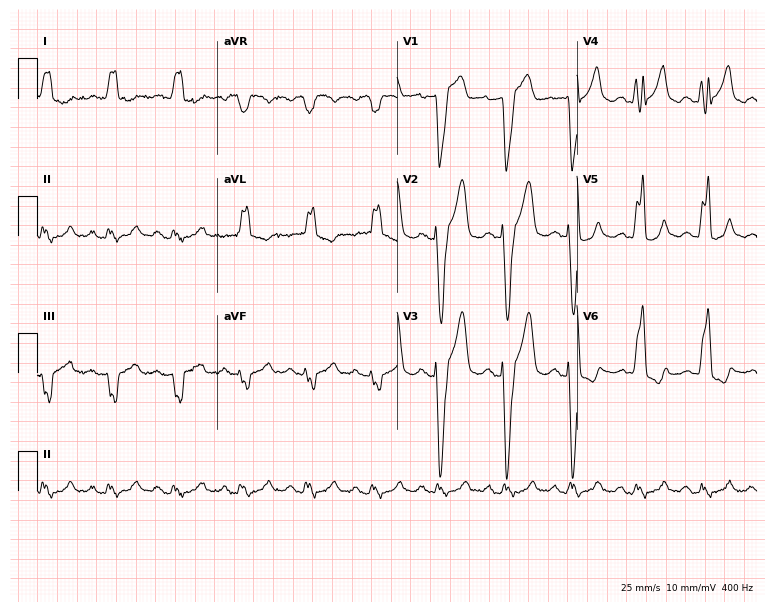
ECG (7.3-second recording at 400 Hz) — a 70-year-old man. Findings include left bundle branch block (LBBB).